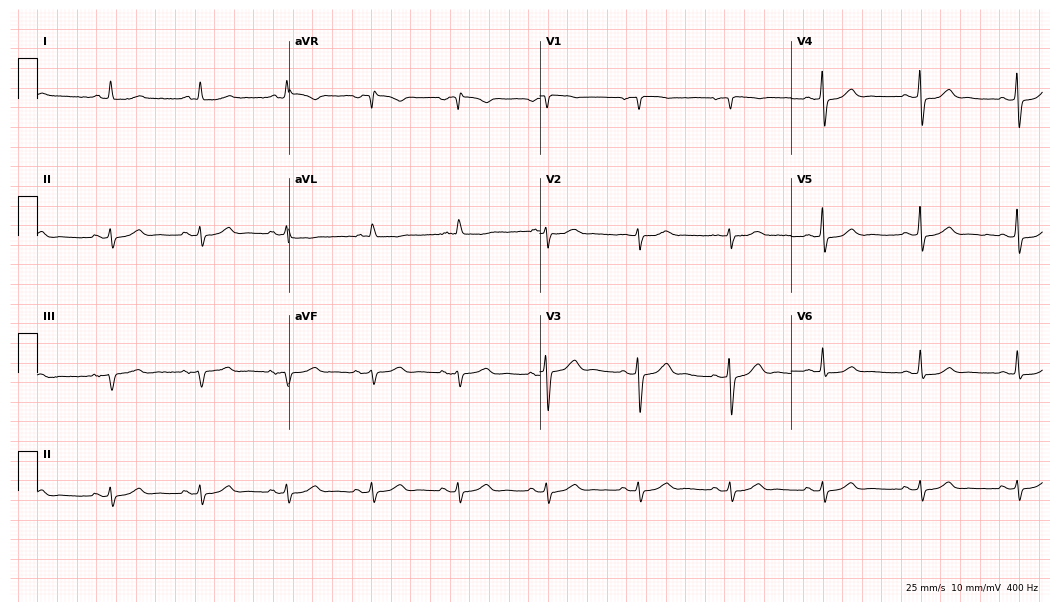
Standard 12-lead ECG recorded from a male patient, 62 years old (10.2-second recording at 400 Hz). None of these six findings is recorded: first-degree AV block, right bundle branch block, left bundle branch block, sinus bradycardia, atrial fibrillation, sinus tachycardia.